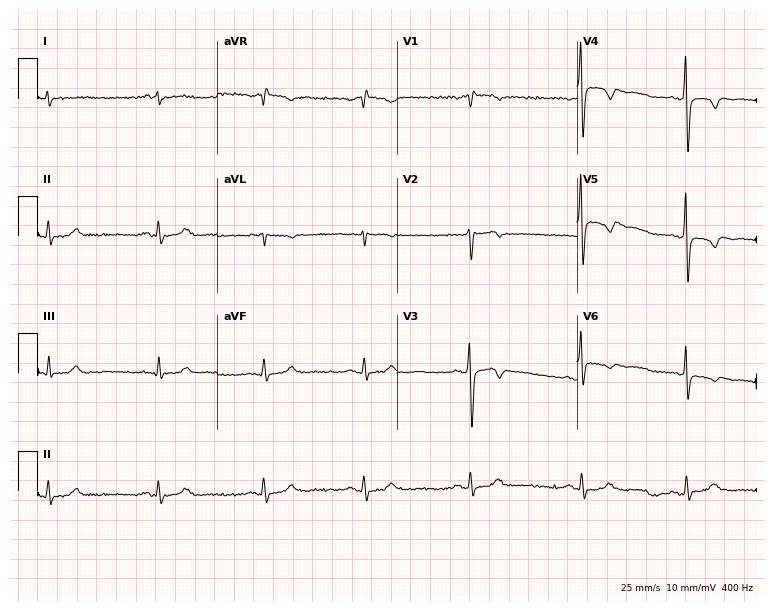
Standard 12-lead ECG recorded from a male patient, 57 years old. None of these six findings is recorded: first-degree AV block, right bundle branch block, left bundle branch block, sinus bradycardia, atrial fibrillation, sinus tachycardia. Only these six findings were labelled.